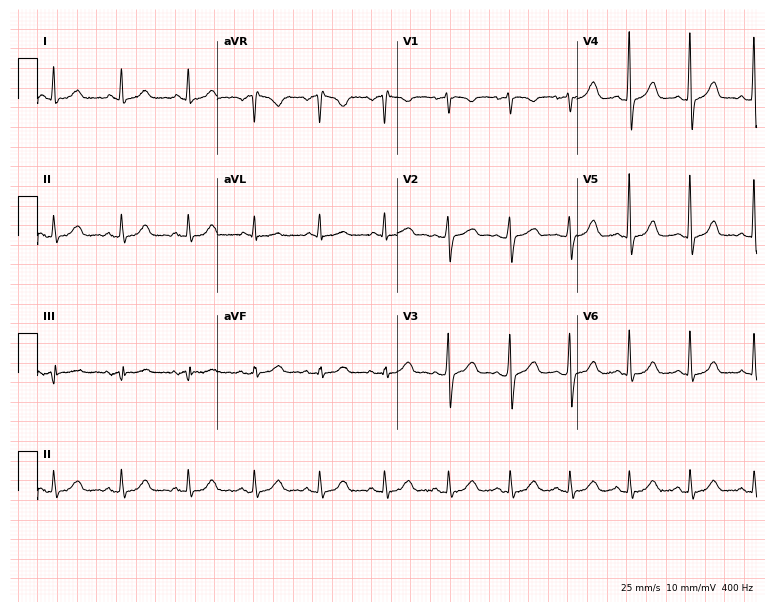
Electrocardiogram, a female patient, 39 years old. Overall reading on record: normal ECG.